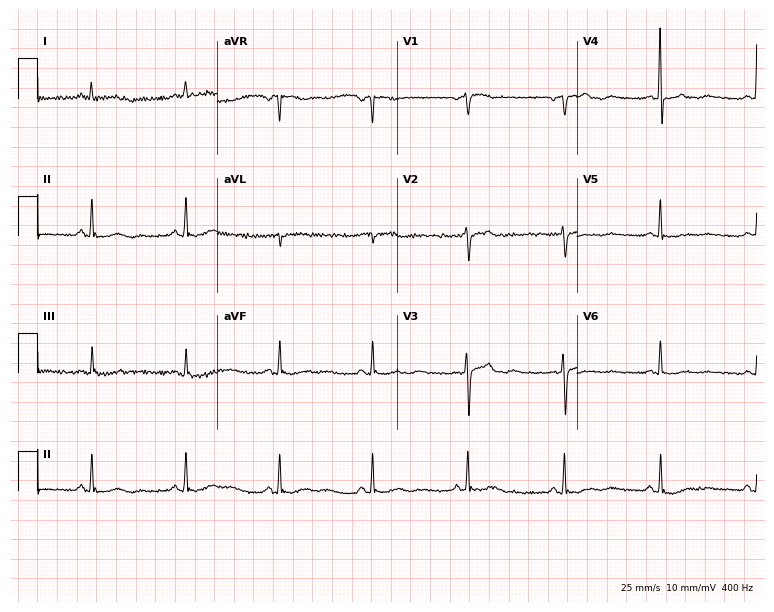
Electrocardiogram, a woman, 66 years old. Of the six screened findings (first-degree AV block, right bundle branch block, left bundle branch block, sinus bradycardia, atrial fibrillation, sinus tachycardia), none is recorded.